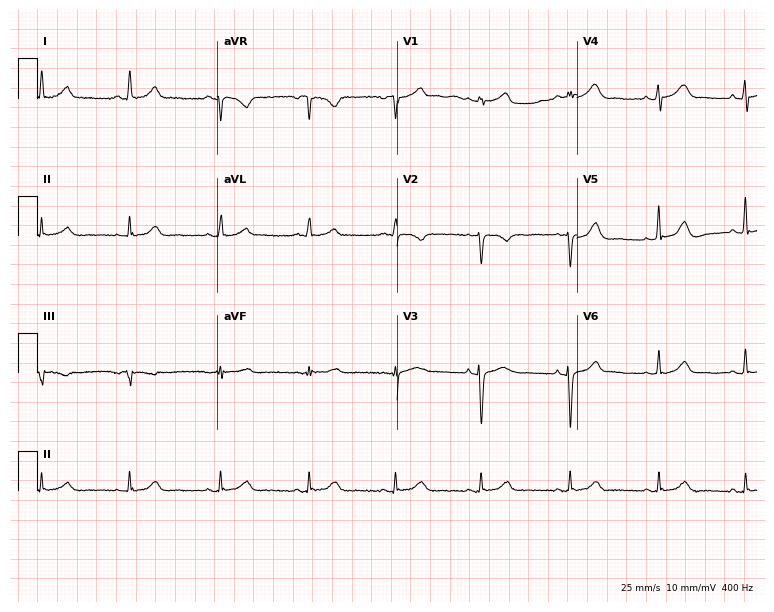
12-lead ECG (7.3-second recording at 400 Hz) from a woman, 46 years old. Labelled as a normal ECG.